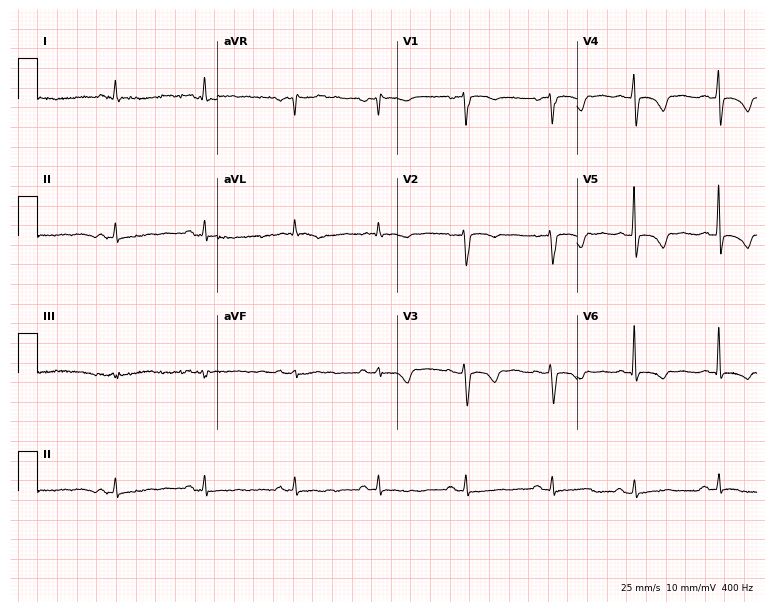
Standard 12-lead ECG recorded from a 53-year-old female. None of these six findings is recorded: first-degree AV block, right bundle branch block, left bundle branch block, sinus bradycardia, atrial fibrillation, sinus tachycardia.